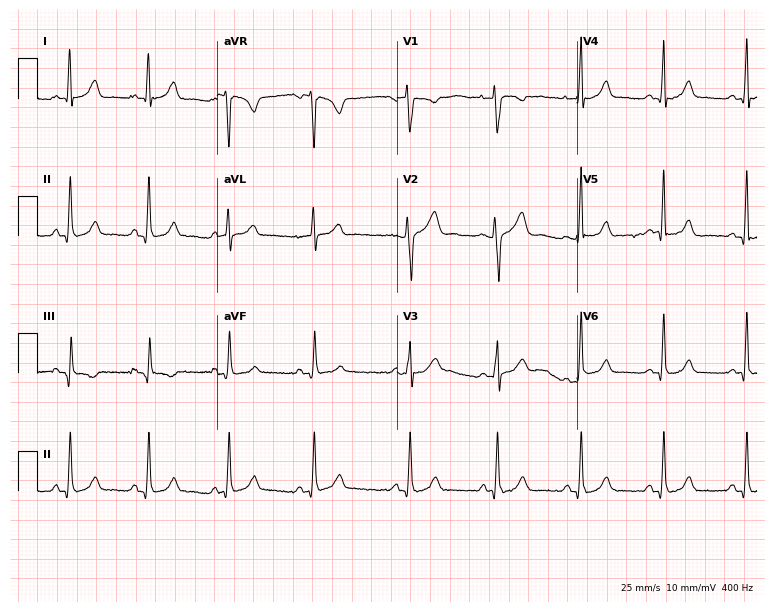
ECG — a woman, 23 years old. Labelled as a normal ECG.